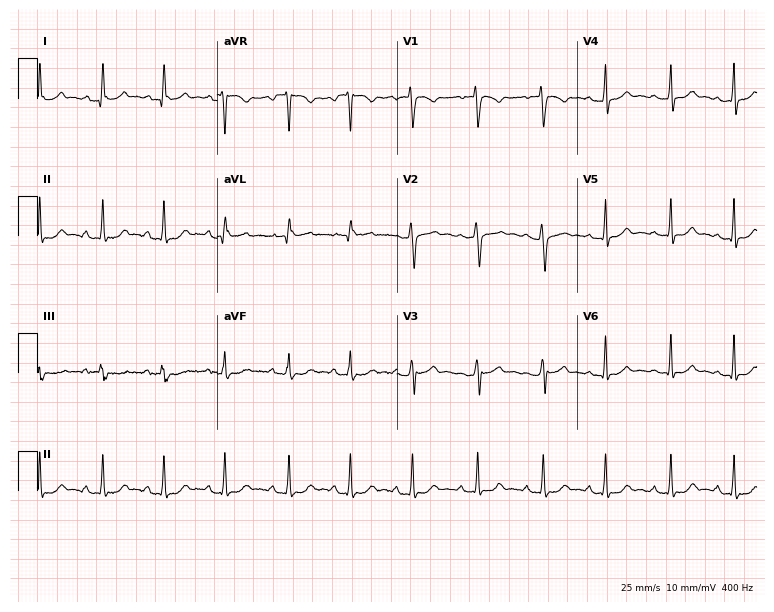
12-lead ECG from an 18-year-old female. Recorded interpretation: within normal limits.